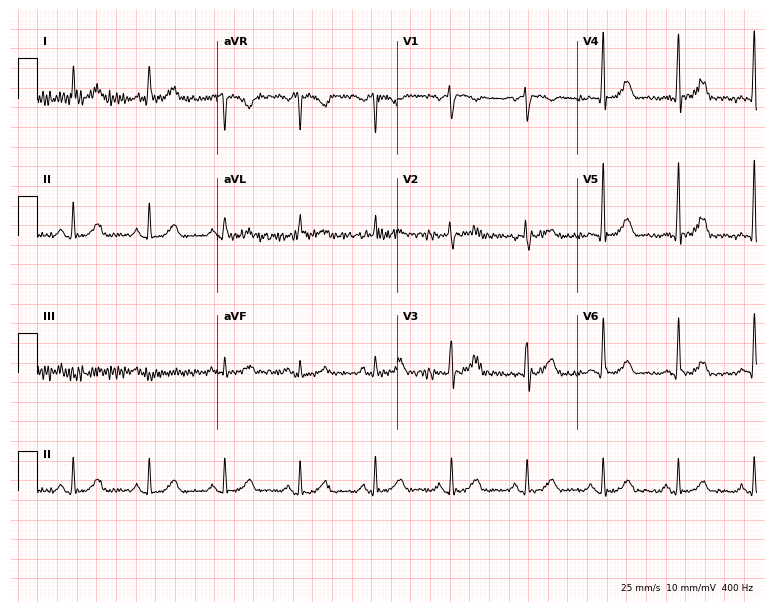
Standard 12-lead ECG recorded from a man, 70 years old. None of these six findings is recorded: first-degree AV block, right bundle branch block (RBBB), left bundle branch block (LBBB), sinus bradycardia, atrial fibrillation (AF), sinus tachycardia. Findings outside these six are not listed.